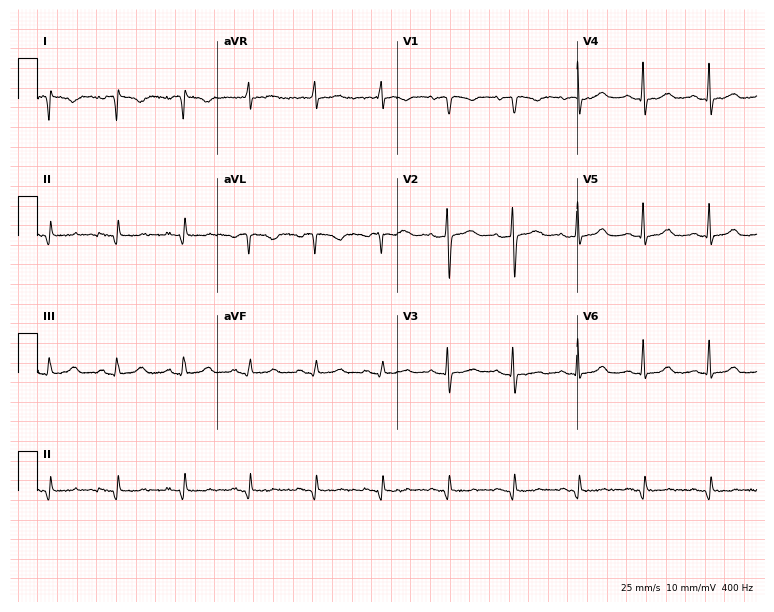
12-lead ECG (7.3-second recording at 400 Hz) from a 50-year-old female patient. Screened for six findings — first-degree AV block, right bundle branch block, left bundle branch block, sinus bradycardia, atrial fibrillation, sinus tachycardia — none is recorded. Only these six findings were labelled.